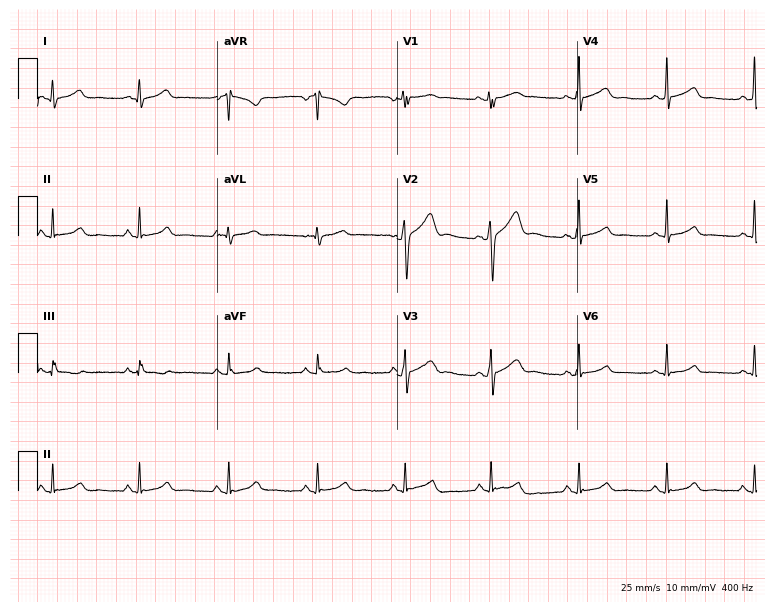
12-lead ECG from a man, 21 years old (7.3-second recording at 400 Hz). Recorded interpretation: within normal limits.